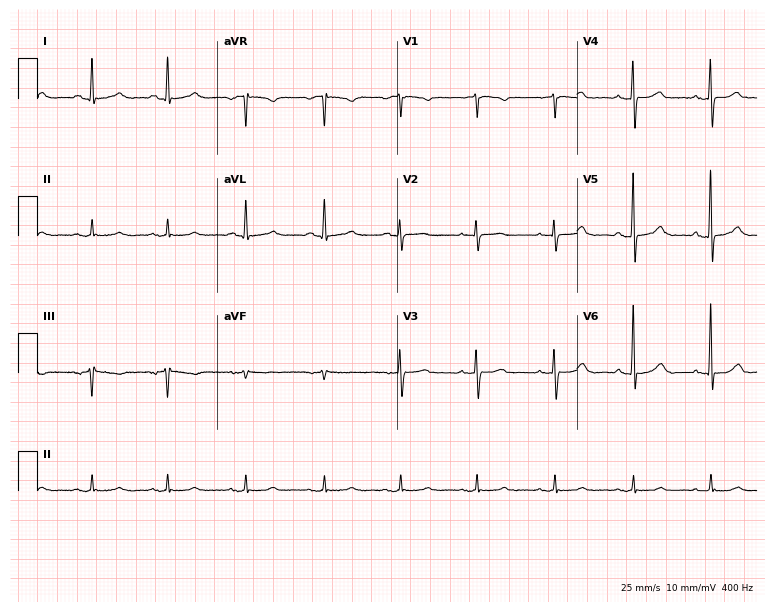
Standard 12-lead ECG recorded from a 64-year-old woman (7.3-second recording at 400 Hz). Read as a normal ECG.